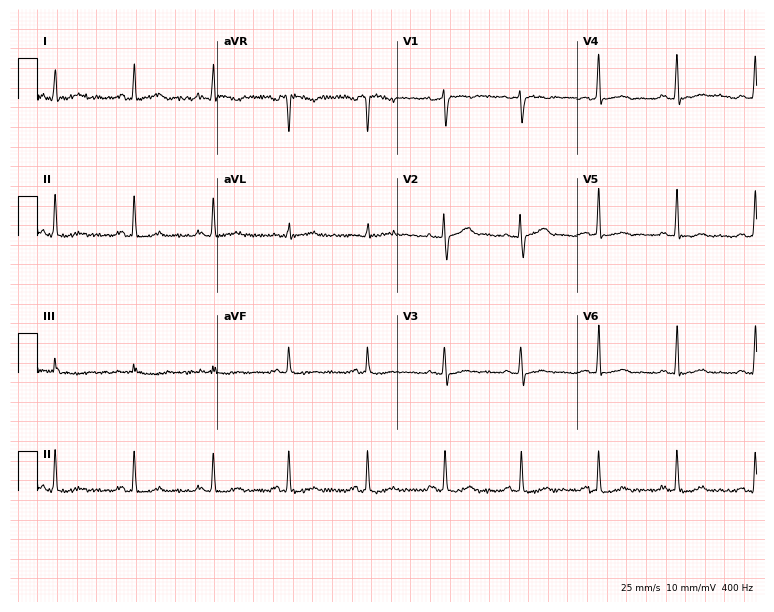
Standard 12-lead ECG recorded from a 45-year-old female patient. None of these six findings is recorded: first-degree AV block, right bundle branch block (RBBB), left bundle branch block (LBBB), sinus bradycardia, atrial fibrillation (AF), sinus tachycardia.